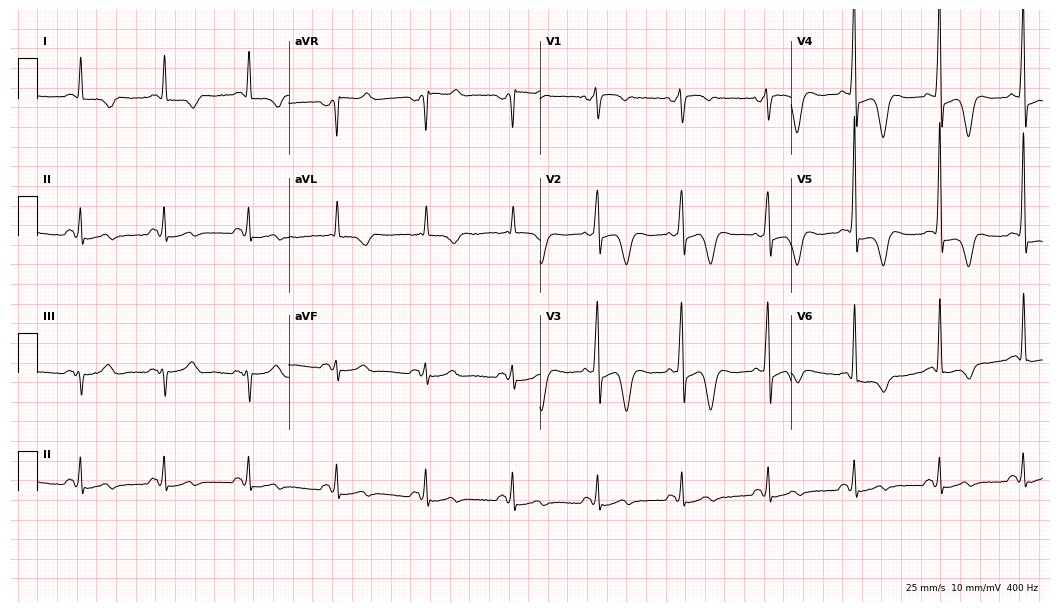
Resting 12-lead electrocardiogram (10.2-second recording at 400 Hz). Patient: an 81-year-old man. None of these six findings is recorded: first-degree AV block, right bundle branch block (RBBB), left bundle branch block (LBBB), sinus bradycardia, atrial fibrillation (AF), sinus tachycardia. Other findings, if any, are not listed.